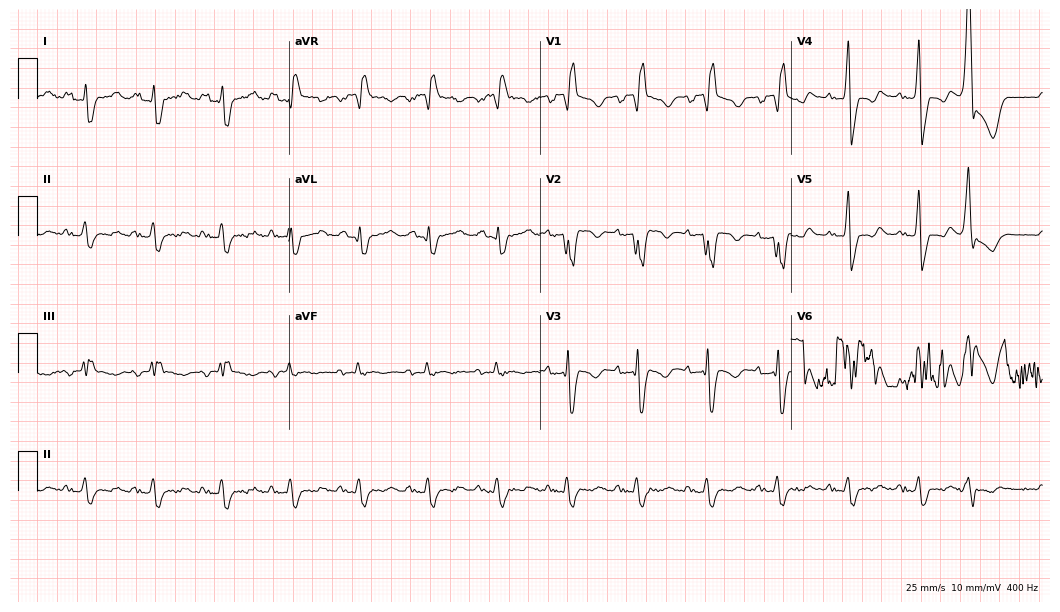
Electrocardiogram (10.2-second recording at 400 Hz), a man, 59 years old. Interpretation includes right bundle branch block (RBBB).